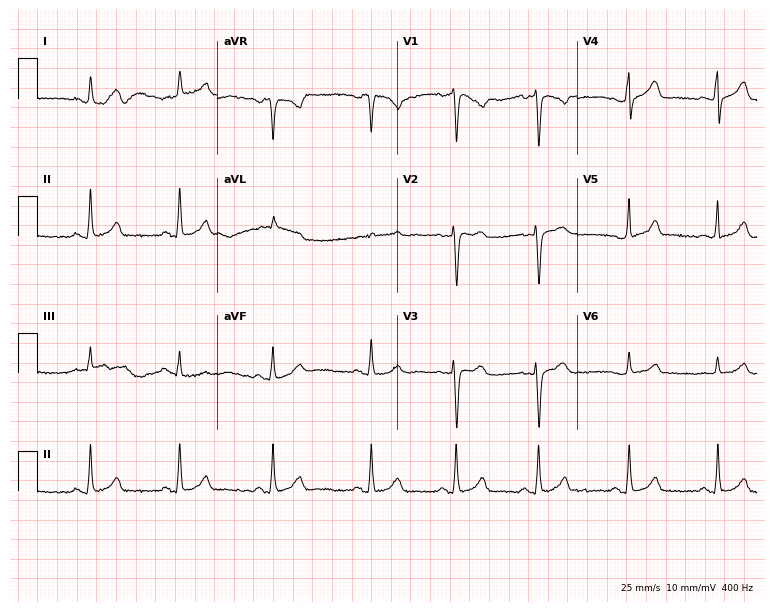
Resting 12-lead electrocardiogram (7.3-second recording at 400 Hz). Patient: a woman, 25 years old. Read as a normal ECG.